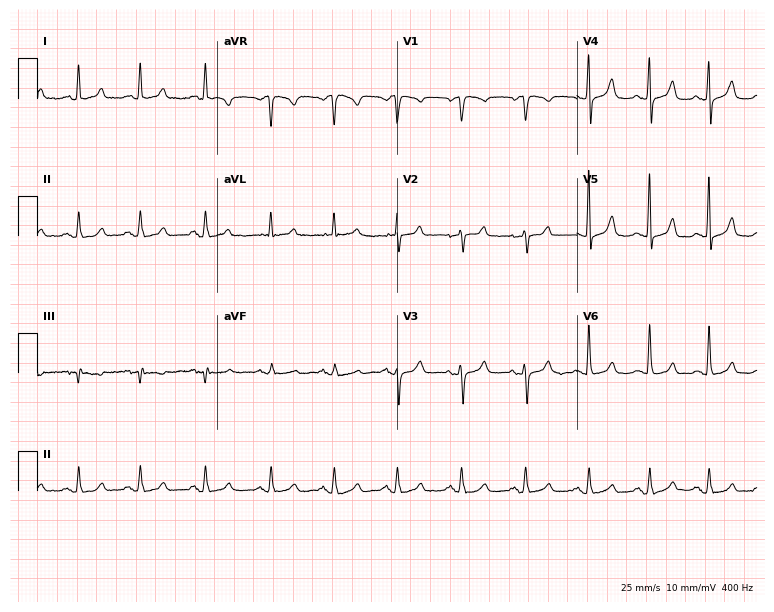
12-lead ECG from a female patient, 65 years old (7.3-second recording at 400 Hz). No first-degree AV block, right bundle branch block (RBBB), left bundle branch block (LBBB), sinus bradycardia, atrial fibrillation (AF) or sinus tachycardia recorded for this tracing. Findings outside these six are not listed.